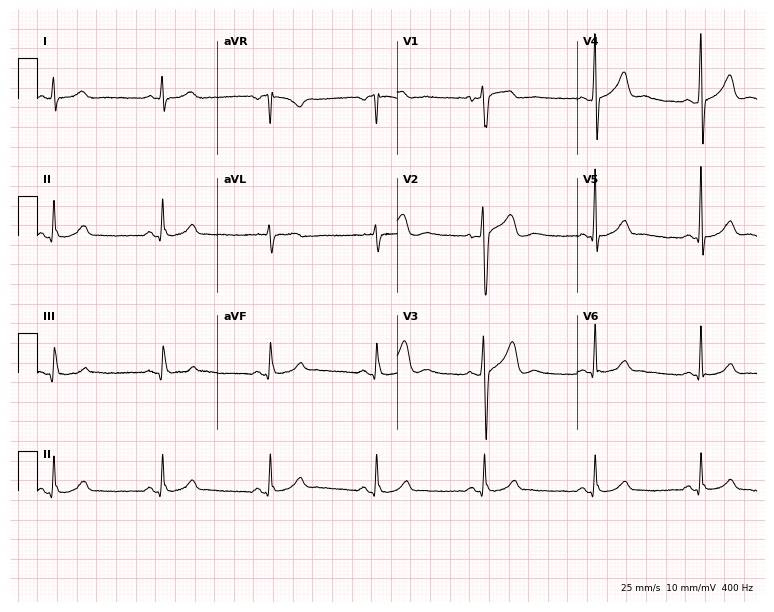
Standard 12-lead ECG recorded from a man, 45 years old. Read as a normal ECG.